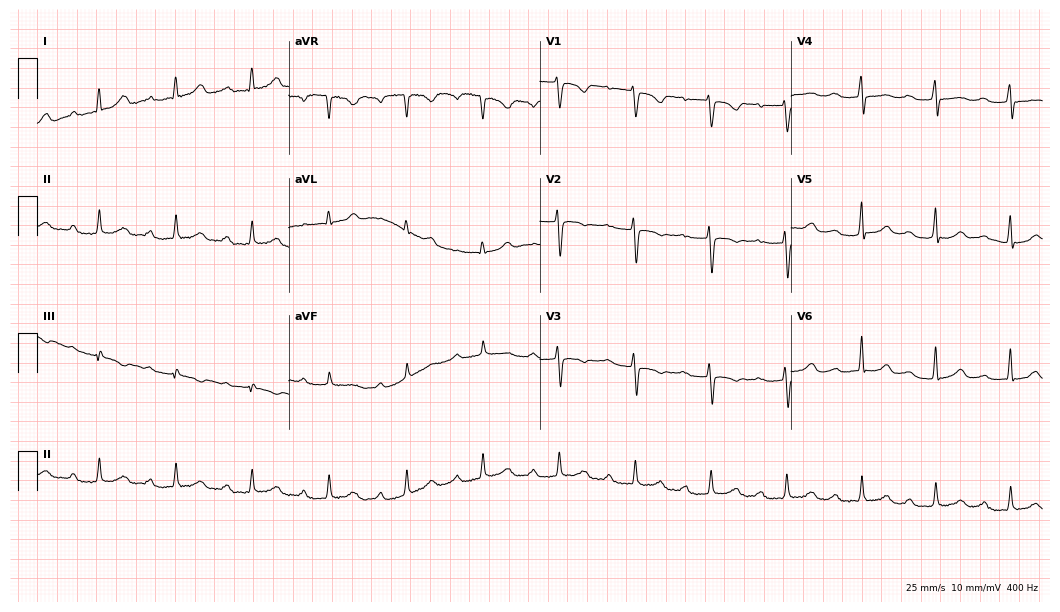
Electrocardiogram, a 47-year-old woman. Interpretation includes first-degree AV block.